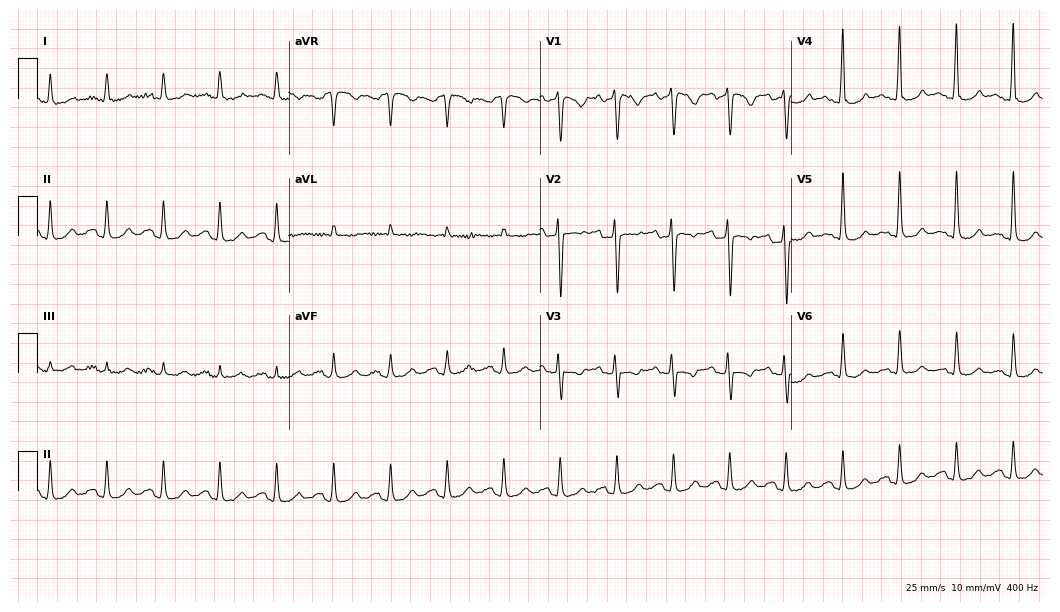
12-lead ECG from a male, 51 years old. Shows sinus tachycardia (a sinus rate of 100 beats per minute or more).